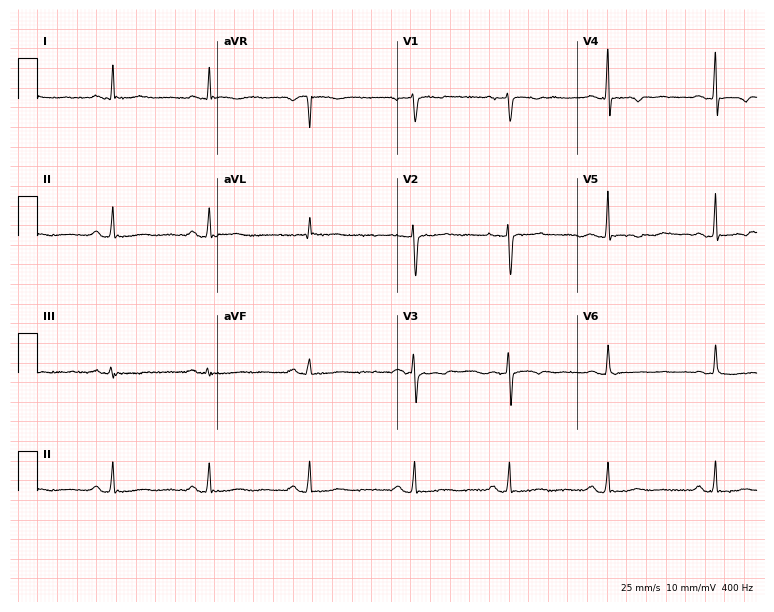
12-lead ECG from a female, 59 years old. No first-degree AV block, right bundle branch block, left bundle branch block, sinus bradycardia, atrial fibrillation or sinus tachycardia recorded for this tracing. Other findings, if any, are not listed.